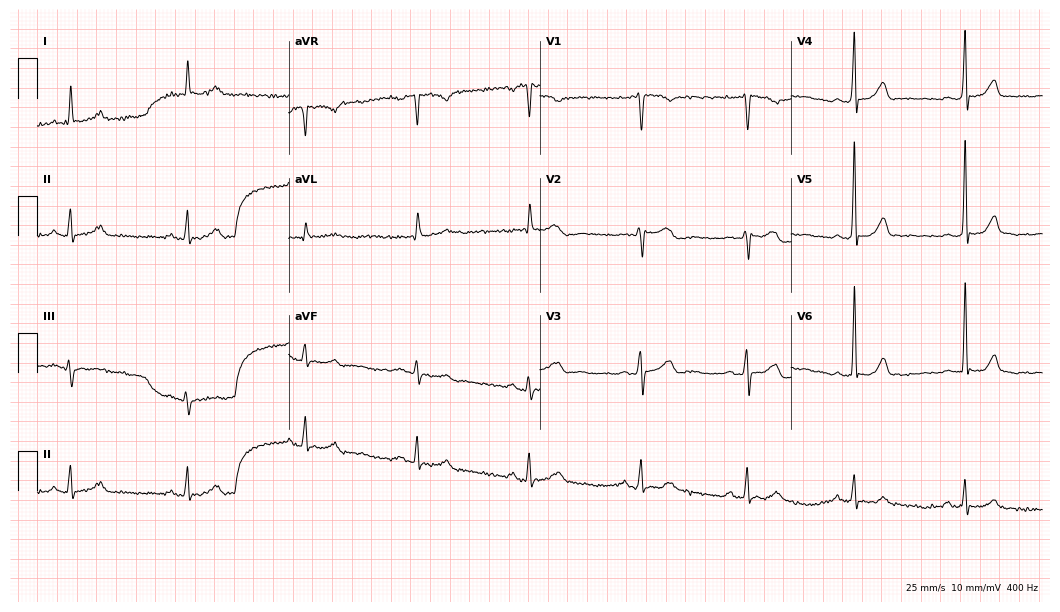
12-lead ECG from a 77-year-old female patient. Labelled as a normal ECG.